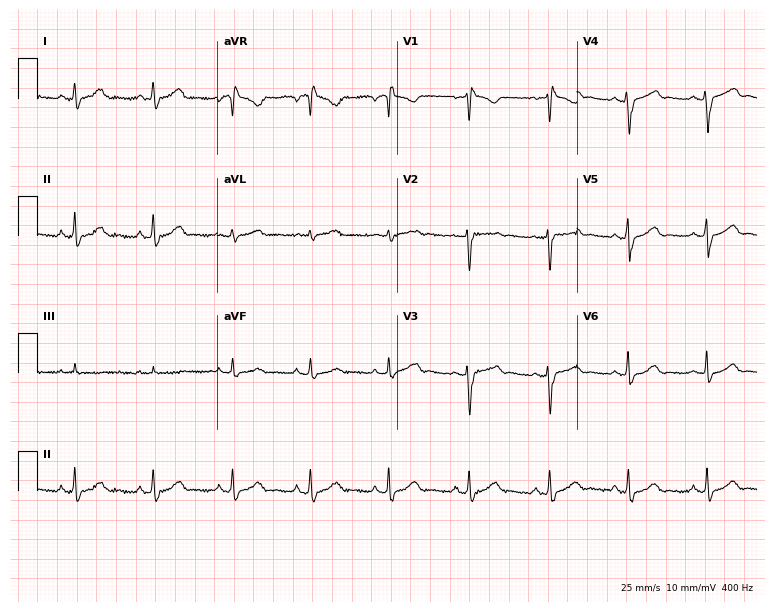
12-lead ECG from a 35-year-old woman. No first-degree AV block, right bundle branch block, left bundle branch block, sinus bradycardia, atrial fibrillation or sinus tachycardia recorded for this tracing. Findings outside these six are not listed.